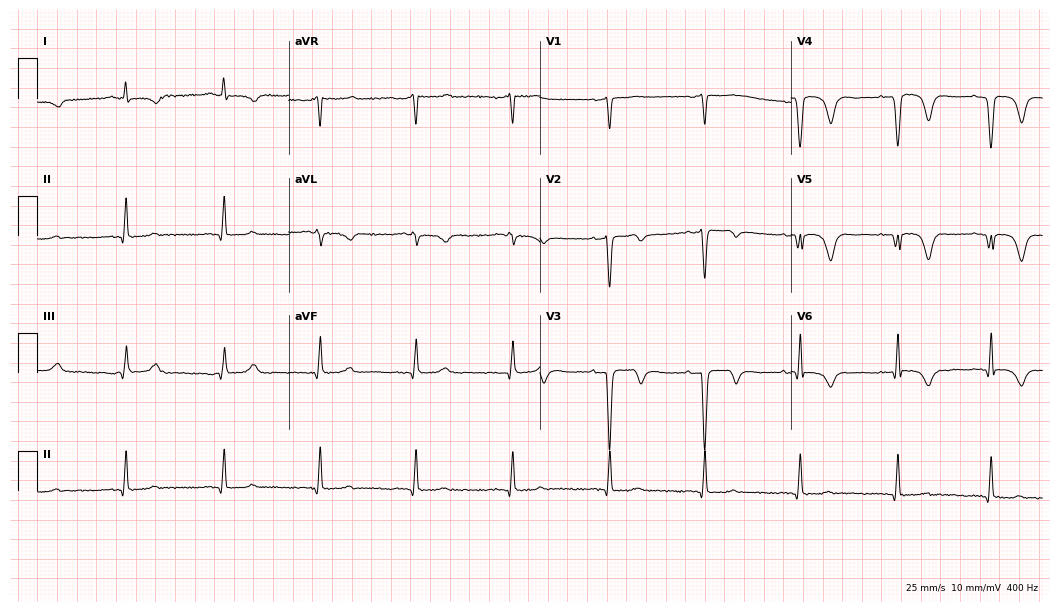
Standard 12-lead ECG recorded from a 73-year-old female patient. Read as a normal ECG.